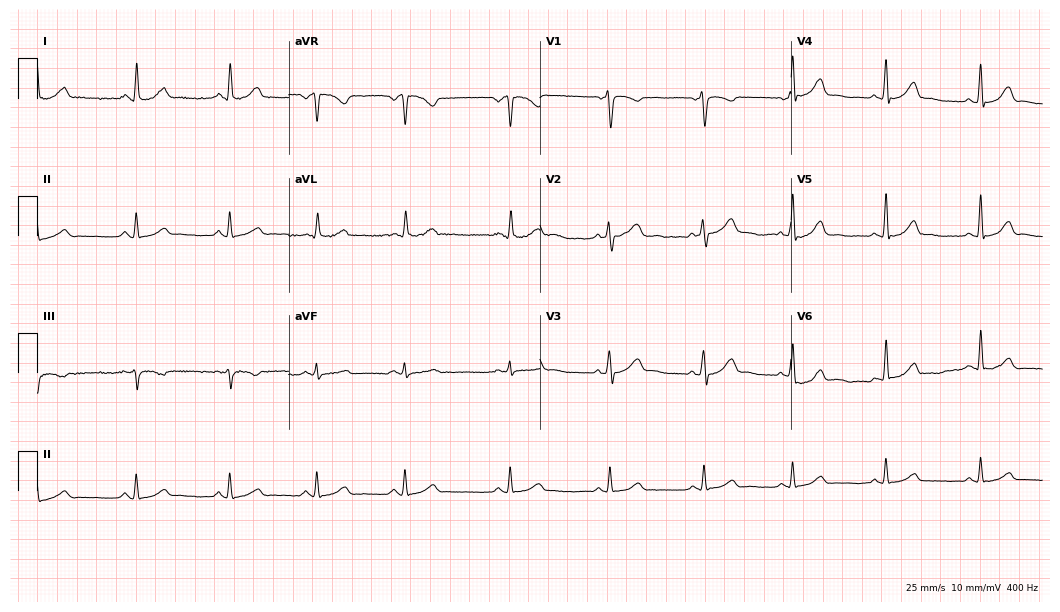
Resting 12-lead electrocardiogram (10.2-second recording at 400 Hz). Patient: a 41-year-old woman. Read as a normal ECG.